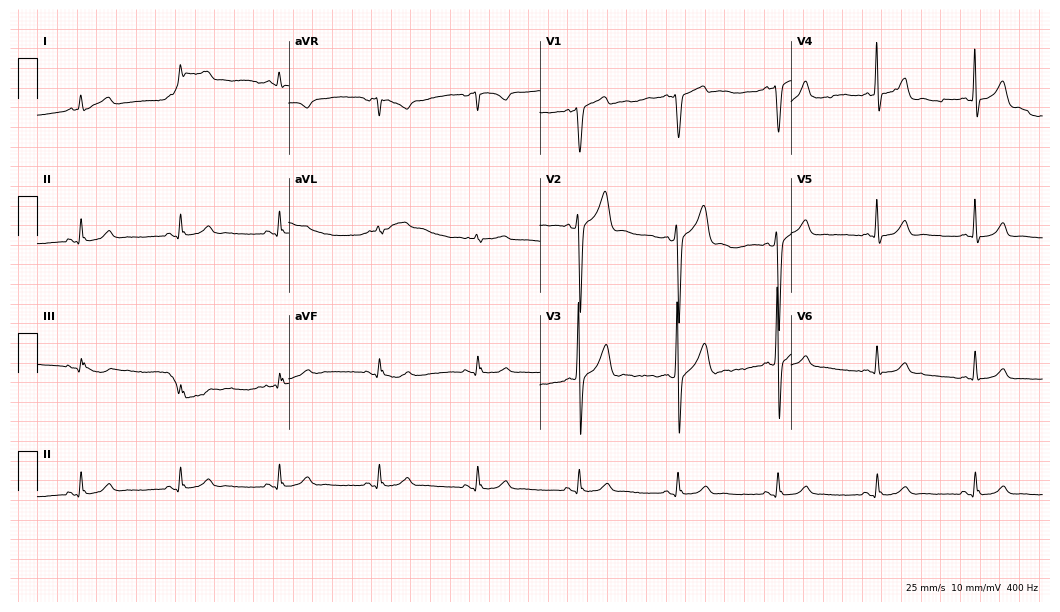
Resting 12-lead electrocardiogram (10.2-second recording at 400 Hz). Patient: a 73-year-old male. Read as a normal ECG.